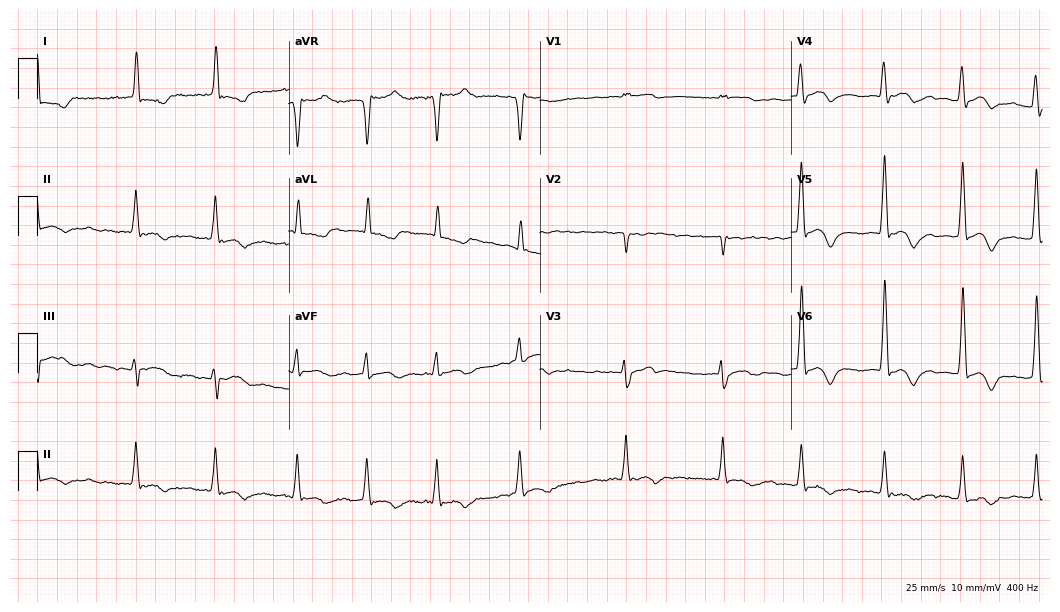
12-lead ECG from a woman, 75 years old. Shows atrial fibrillation (AF).